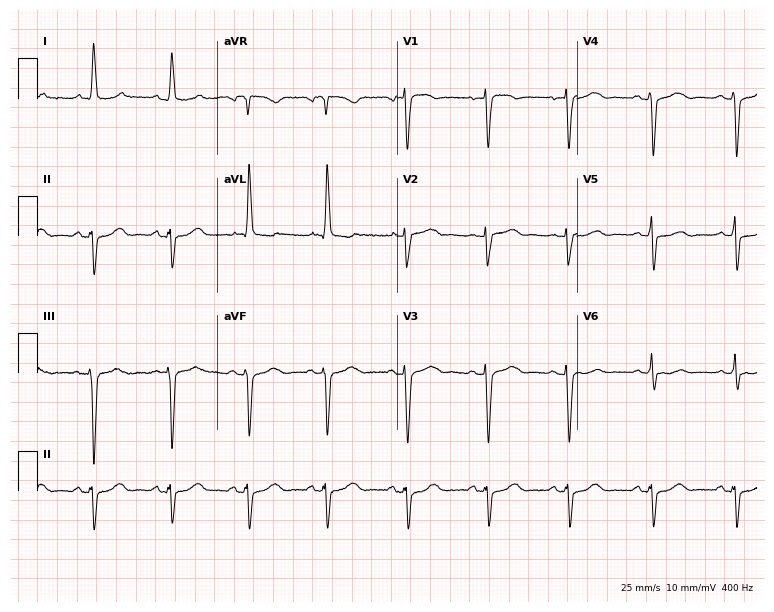
12-lead ECG (7.3-second recording at 400 Hz) from a 74-year-old female. Findings include left bundle branch block.